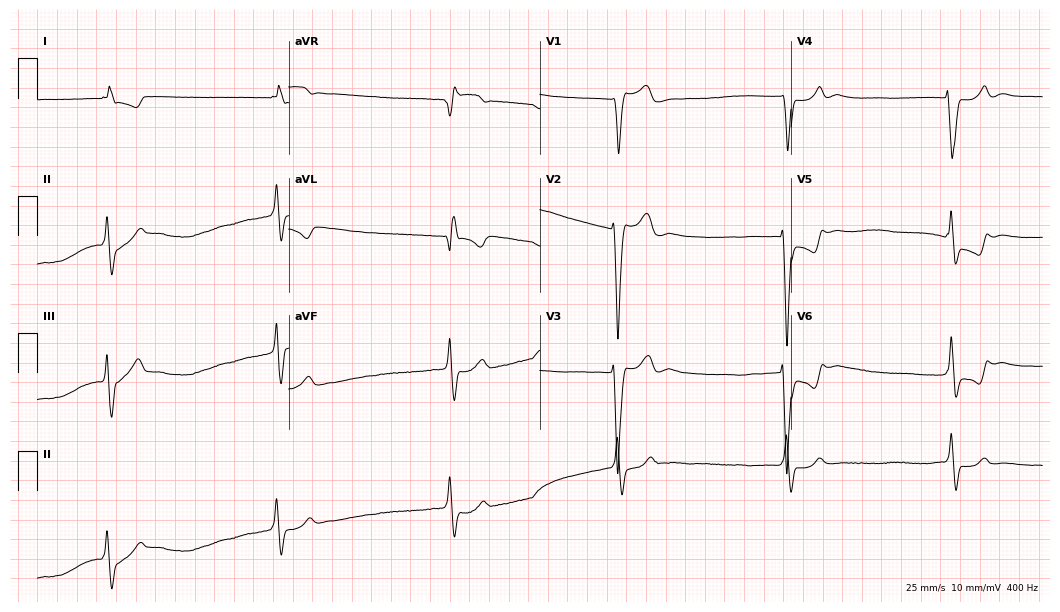
Resting 12-lead electrocardiogram (10.2-second recording at 400 Hz). Patient: an 84-year-old female. None of these six findings is recorded: first-degree AV block, right bundle branch block, left bundle branch block, sinus bradycardia, atrial fibrillation, sinus tachycardia. Other findings, if any, are not listed.